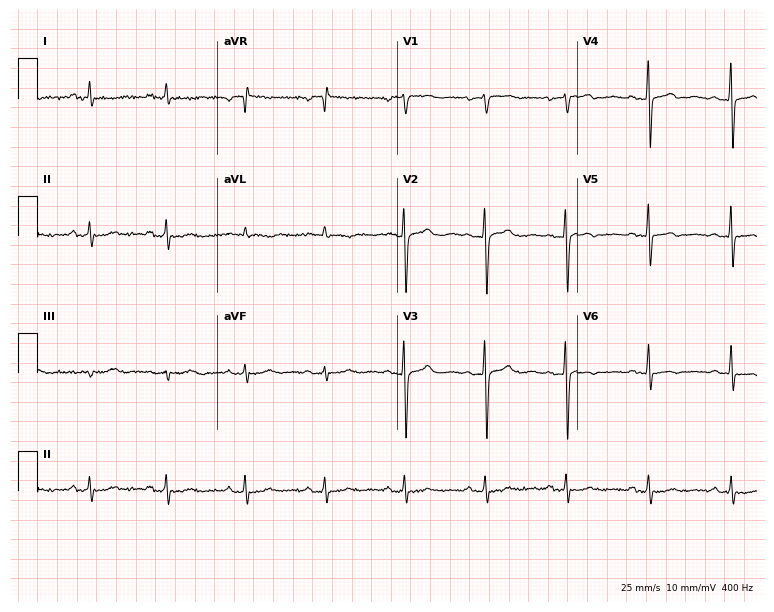
ECG (7.3-second recording at 400 Hz) — a 34-year-old female patient. Screened for six findings — first-degree AV block, right bundle branch block, left bundle branch block, sinus bradycardia, atrial fibrillation, sinus tachycardia — none is recorded.